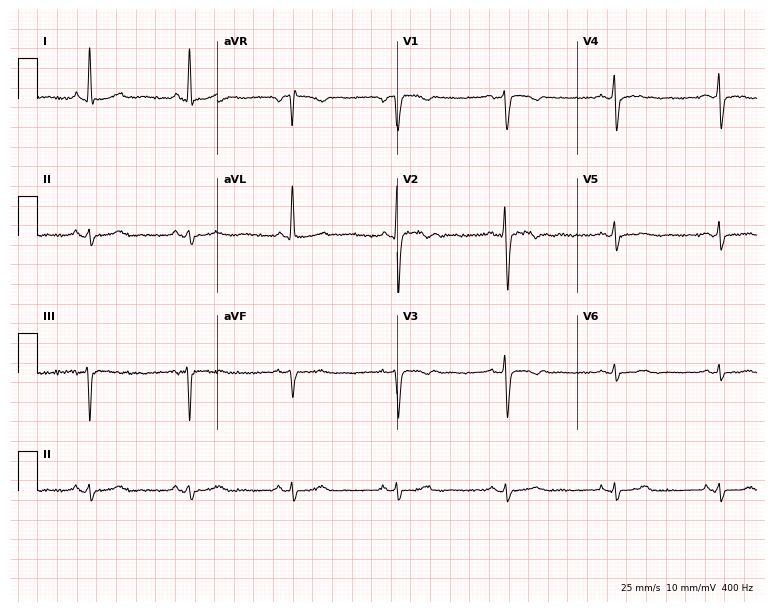
ECG (7.3-second recording at 400 Hz) — a female patient, 61 years old. Screened for six findings — first-degree AV block, right bundle branch block, left bundle branch block, sinus bradycardia, atrial fibrillation, sinus tachycardia — none is recorded. Other findings, if any, are not listed.